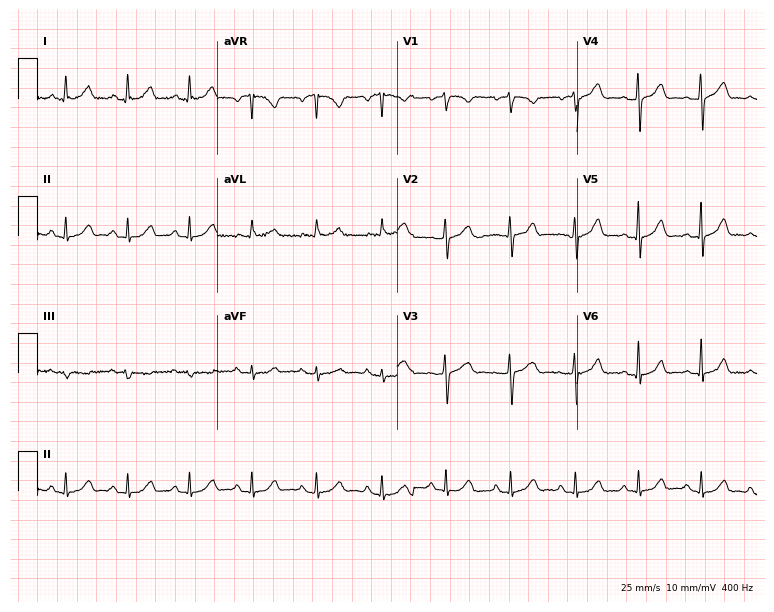
12-lead ECG from a female patient, 50 years old (7.3-second recording at 400 Hz). Recorded interpretation: within normal limits.